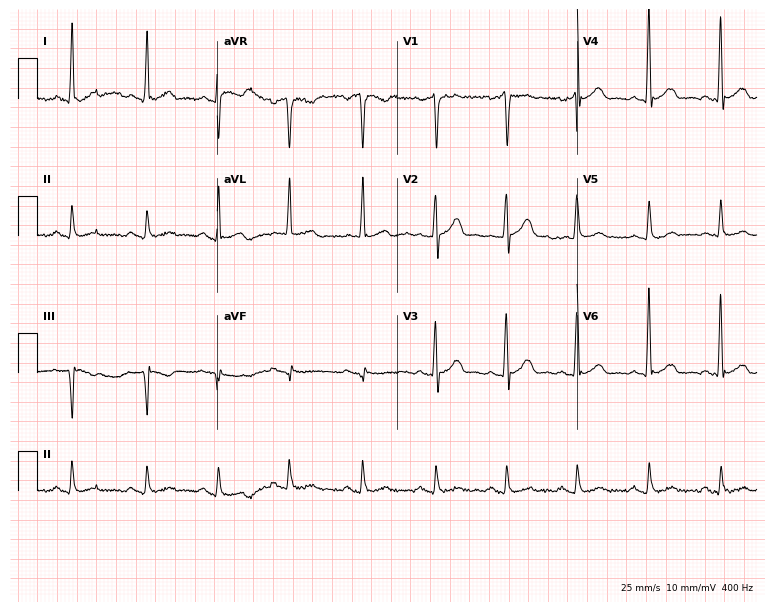
Resting 12-lead electrocardiogram (7.3-second recording at 400 Hz). Patient: a male, 54 years old. None of these six findings is recorded: first-degree AV block, right bundle branch block, left bundle branch block, sinus bradycardia, atrial fibrillation, sinus tachycardia. Findings outside these six are not listed.